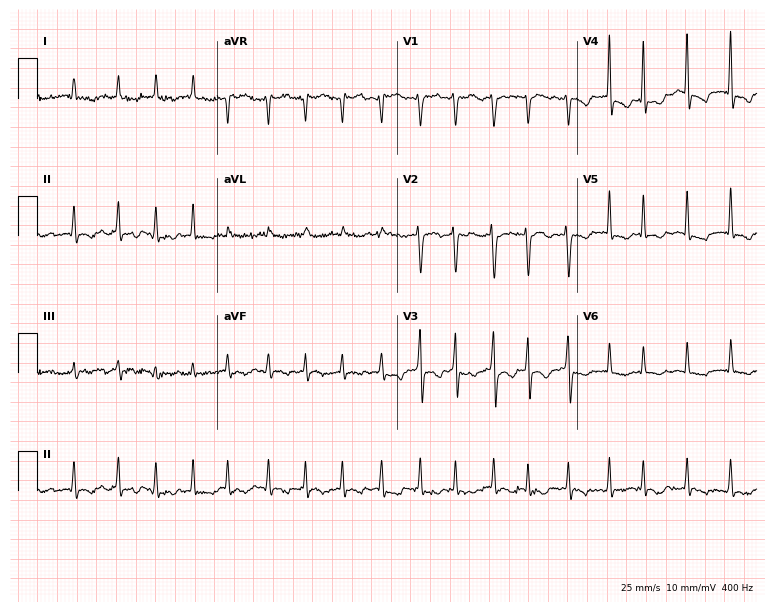
12-lead ECG from a female, 84 years old. No first-degree AV block, right bundle branch block (RBBB), left bundle branch block (LBBB), sinus bradycardia, atrial fibrillation (AF) or sinus tachycardia recorded for this tracing.